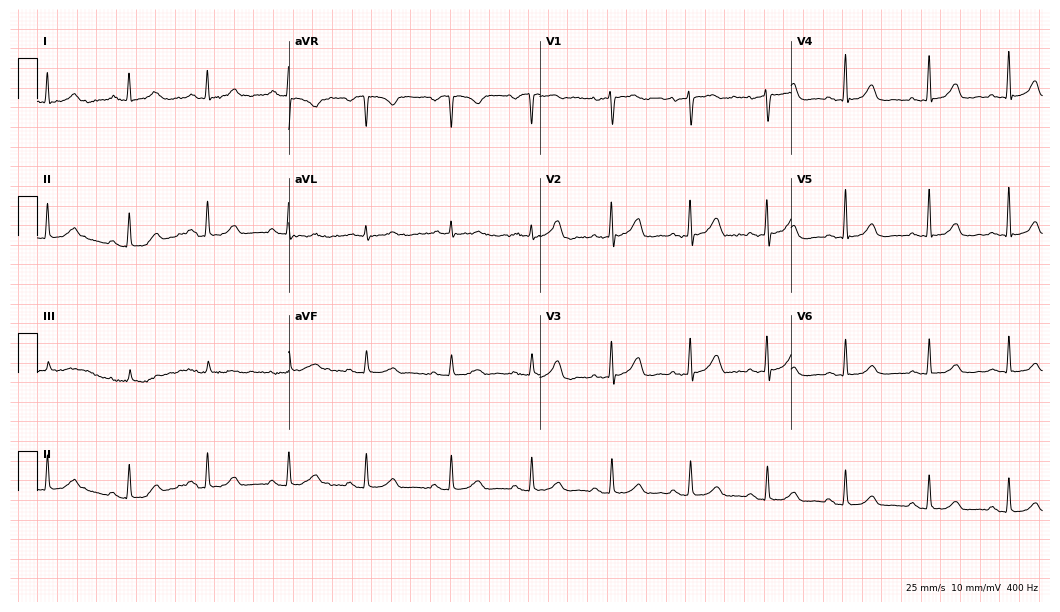
Standard 12-lead ECG recorded from a female patient, 42 years old. Read as a normal ECG.